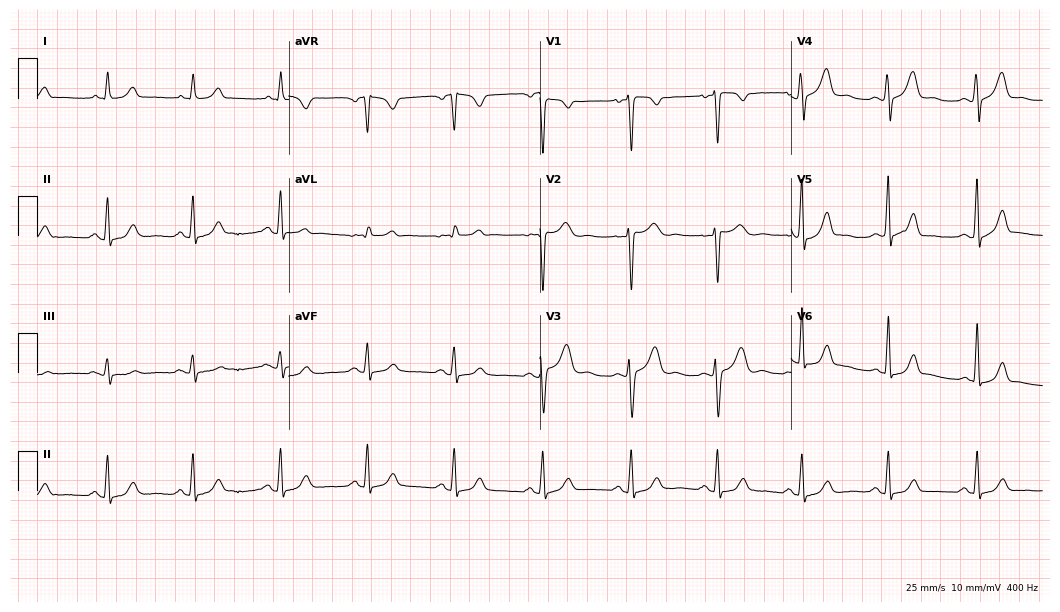
Electrocardiogram, a 42-year-old female patient. Of the six screened findings (first-degree AV block, right bundle branch block (RBBB), left bundle branch block (LBBB), sinus bradycardia, atrial fibrillation (AF), sinus tachycardia), none is recorded. Only these six findings were labelled.